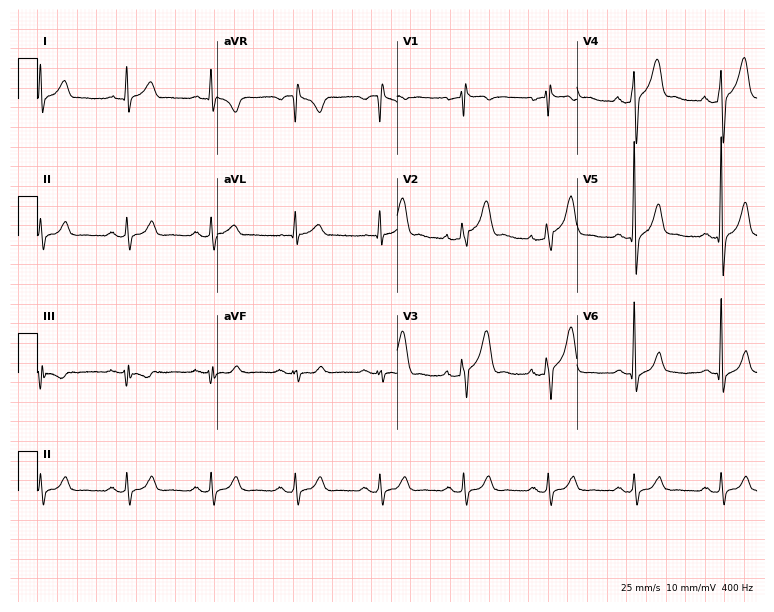
ECG (7.3-second recording at 400 Hz) — a male patient, 36 years old. Screened for six findings — first-degree AV block, right bundle branch block, left bundle branch block, sinus bradycardia, atrial fibrillation, sinus tachycardia — none is recorded.